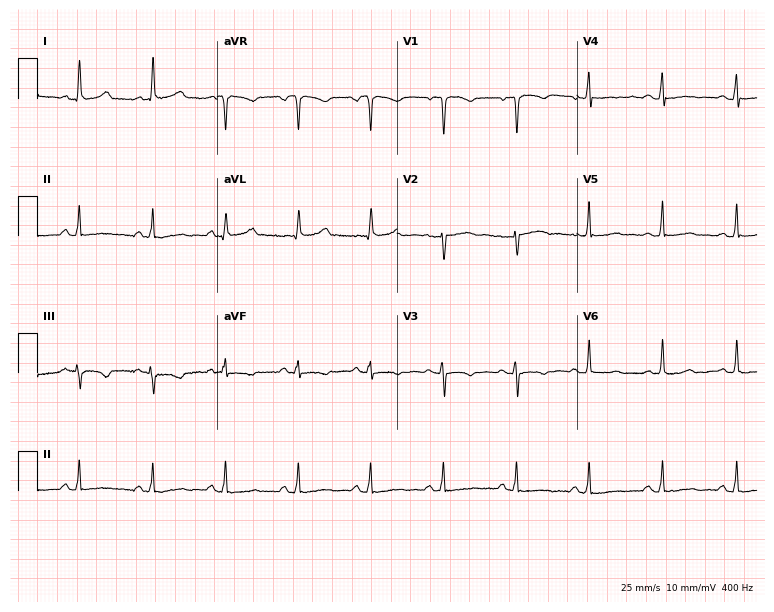
12-lead ECG from a female, 48 years old. Screened for six findings — first-degree AV block, right bundle branch block, left bundle branch block, sinus bradycardia, atrial fibrillation, sinus tachycardia — none is recorded.